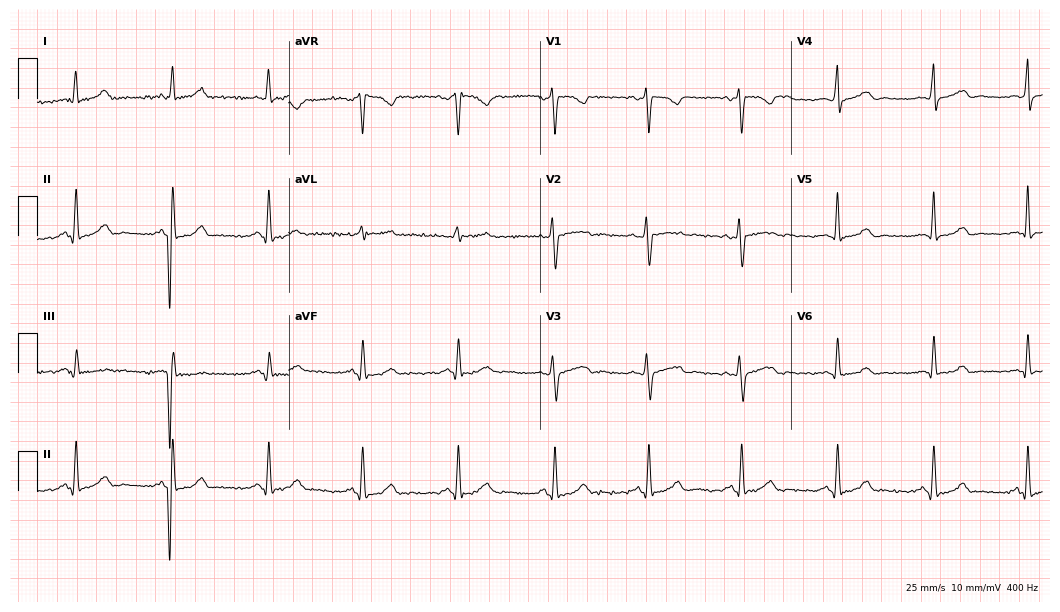
Standard 12-lead ECG recorded from a female patient, 32 years old. None of these six findings is recorded: first-degree AV block, right bundle branch block (RBBB), left bundle branch block (LBBB), sinus bradycardia, atrial fibrillation (AF), sinus tachycardia.